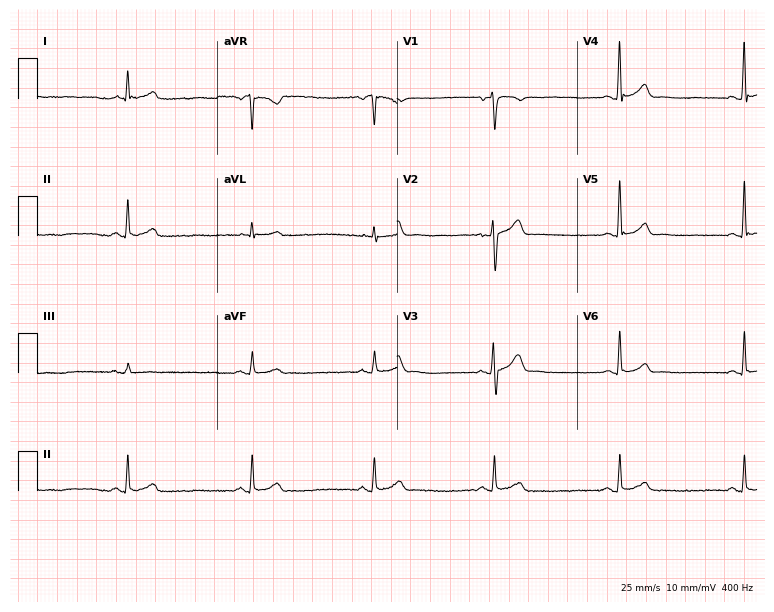
Standard 12-lead ECG recorded from a 40-year-old male (7.3-second recording at 400 Hz). Read as a normal ECG.